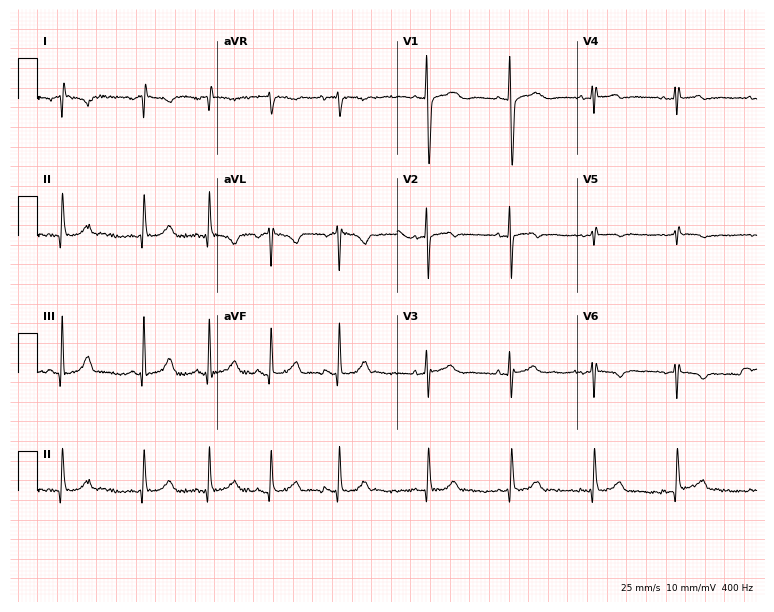
Standard 12-lead ECG recorded from a woman, 30 years old (7.3-second recording at 400 Hz). None of these six findings is recorded: first-degree AV block, right bundle branch block, left bundle branch block, sinus bradycardia, atrial fibrillation, sinus tachycardia. Other findings, if any, are not listed.